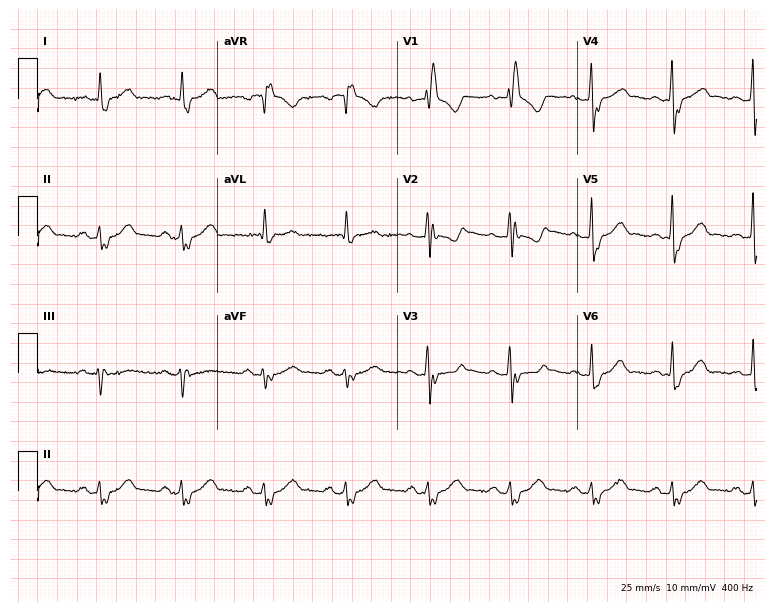
Electrocardiogram, a 59-year-old man. Interpretation includes right bundle branch block.